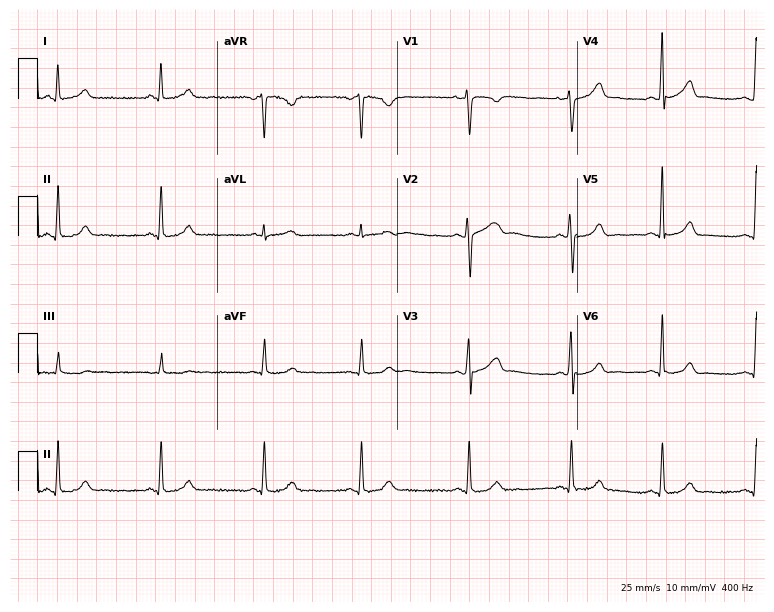
Standard 12-lead ECG recorded from a 25-year-old female patient. None of these six findings is recorded: first-degree AV block, right bundle branch block, left bundle branch block, sinus bradycardia, atrial fibrillation, sinus tachycardia.